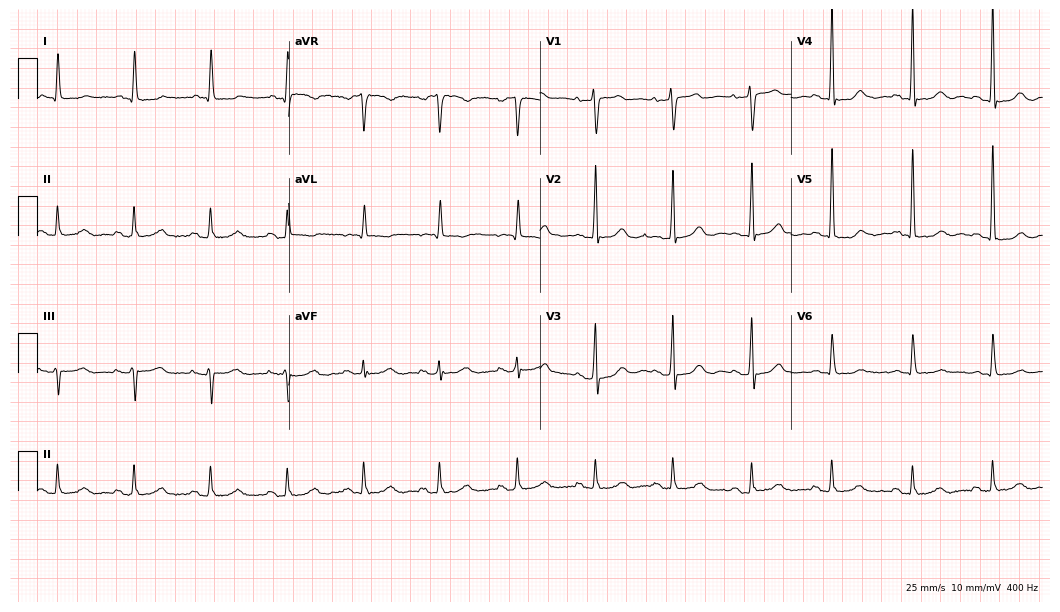
Resting 12-lead electrocardiogram (10.2-second recording at 400 Hz). Patient: a 79-year-old female. None of these six findings is recorded: first-degree AV block, right bundle branch block, left bundle branch block, sinus bradycardia, atrial fibrillation, sinus tachycardia. Other findings, if any, are not listed.